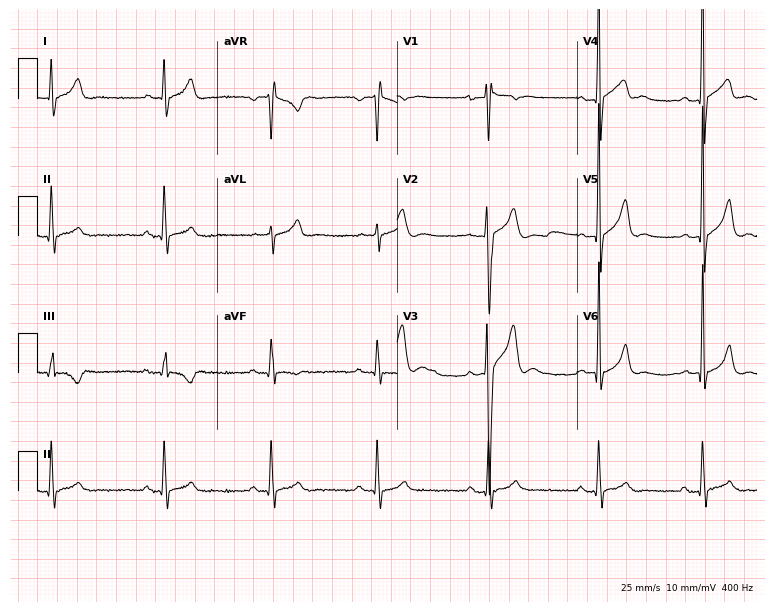
ECG — a 17-year-old man. Screened for six findings — first-degree AV block, right bundle branch block (RBBB), left bundle branch block (LBBB), sinus bradycardia, atrial fibrillation (AF), sinus tachycardia — none is recorded.